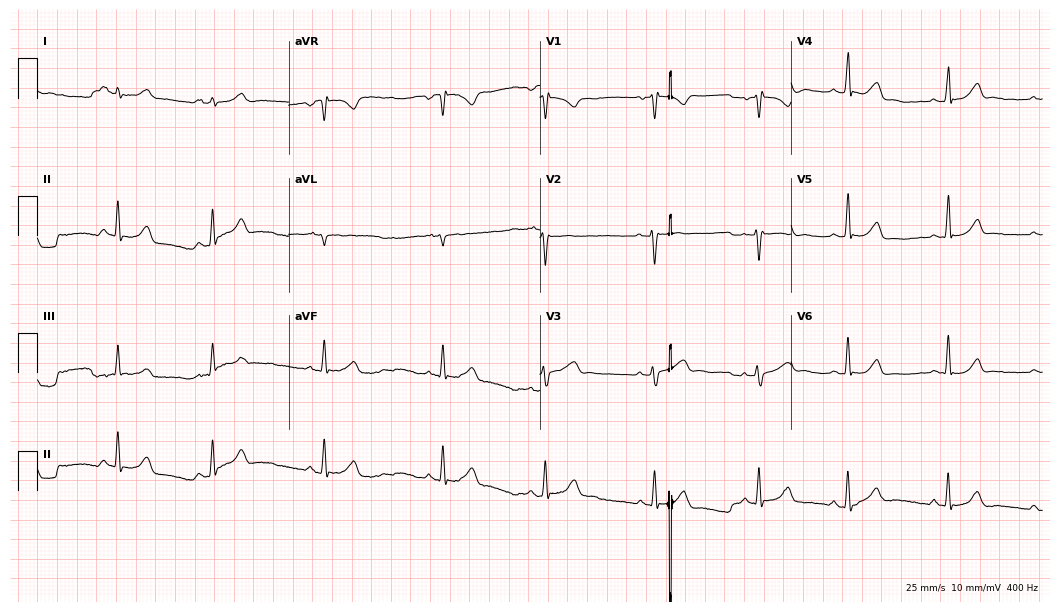
ECG — a 24-year-old female. Labelled as a normal ECG.